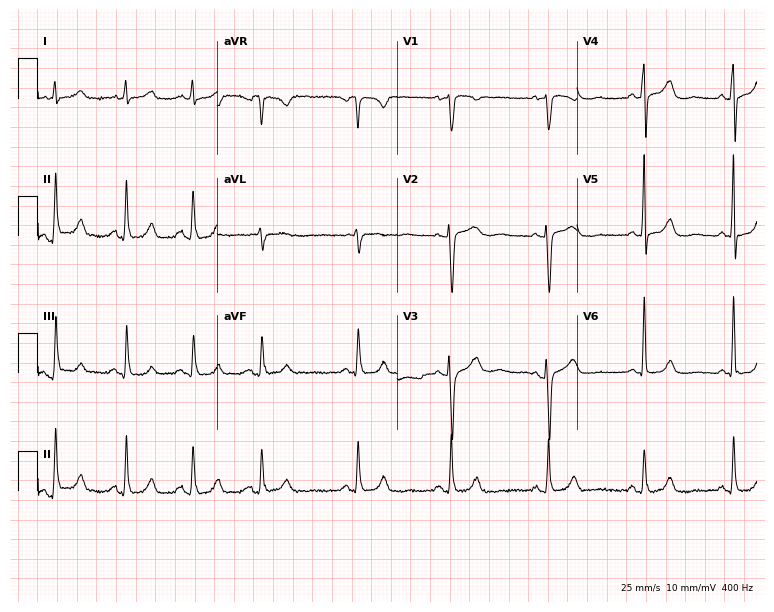
12-lead ECG from a female patient, 46 years old. Screened for six findings — first-degree AV block, right bundle branch block, left bundle branch block, sinus bradycardia, atrial fibrillation, sinus tachycardia — none is recorded.